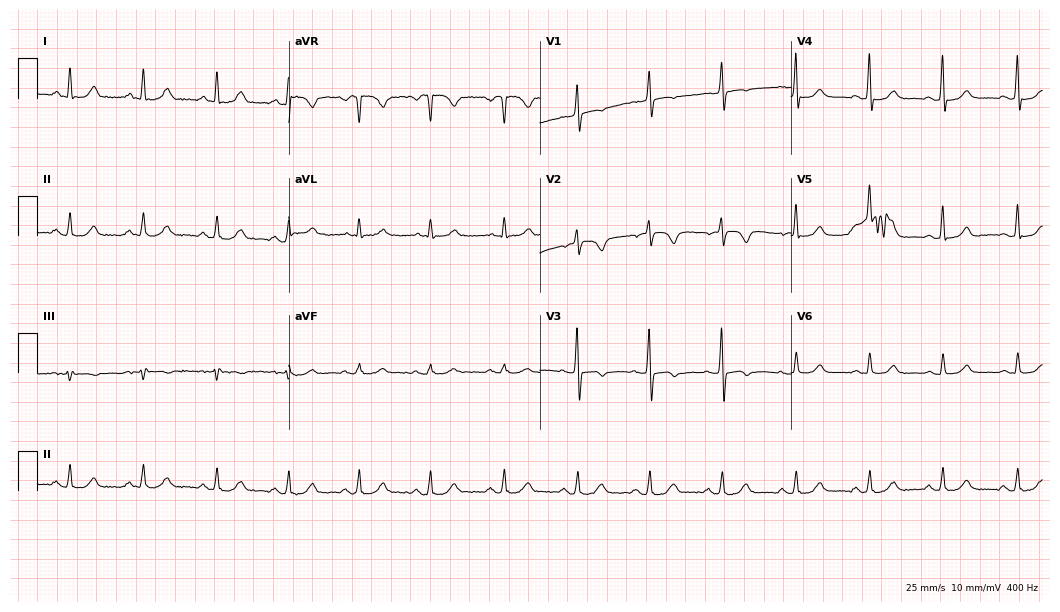
Standard 12-lead ECG recorded from a woman, 60 years old. Read as a normal ECG.